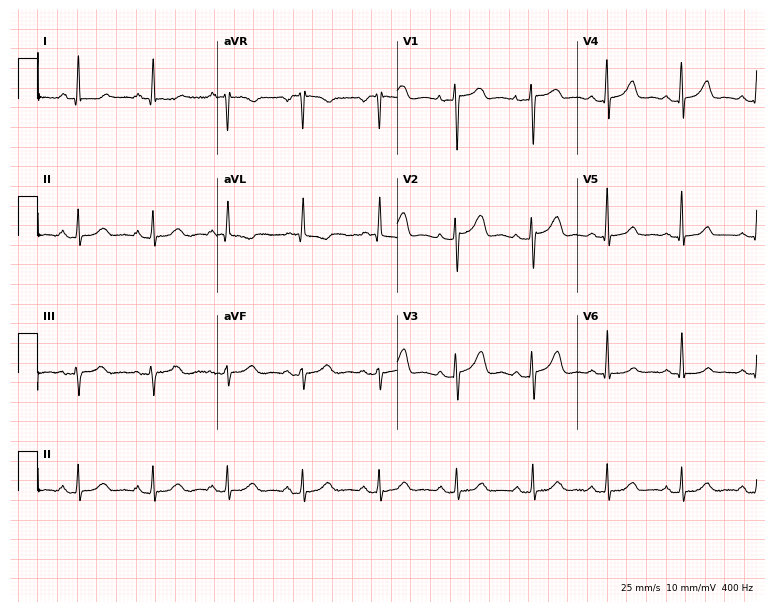
Resting 12-lead electrocardiogram. Patient: a 34-year-old female. Read as a normal ECG.